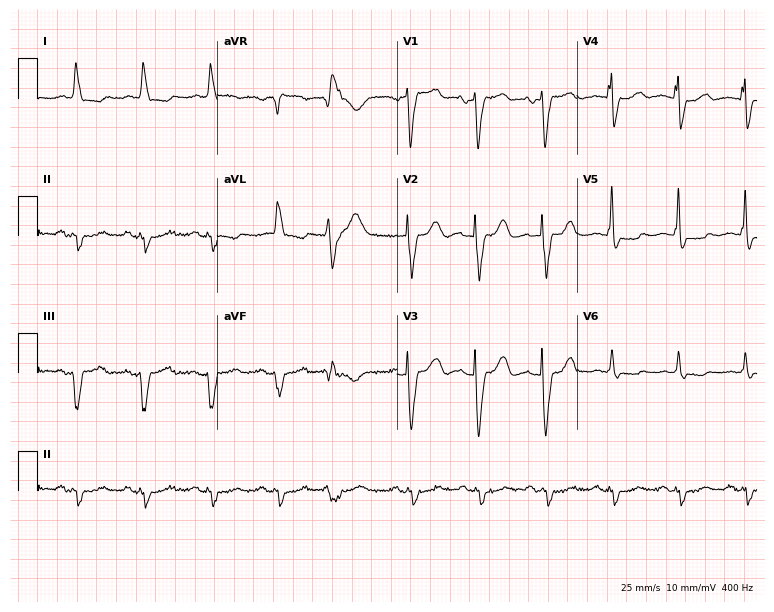
Resting 12-lead electrocardiogram. Patient: a 71-year-old female. None of these six findings is recorded: first-degree AV block, right bundle branch block, left bundle branch block, sinus bradycardia, atrial fibrillation, sinus tachycardia.